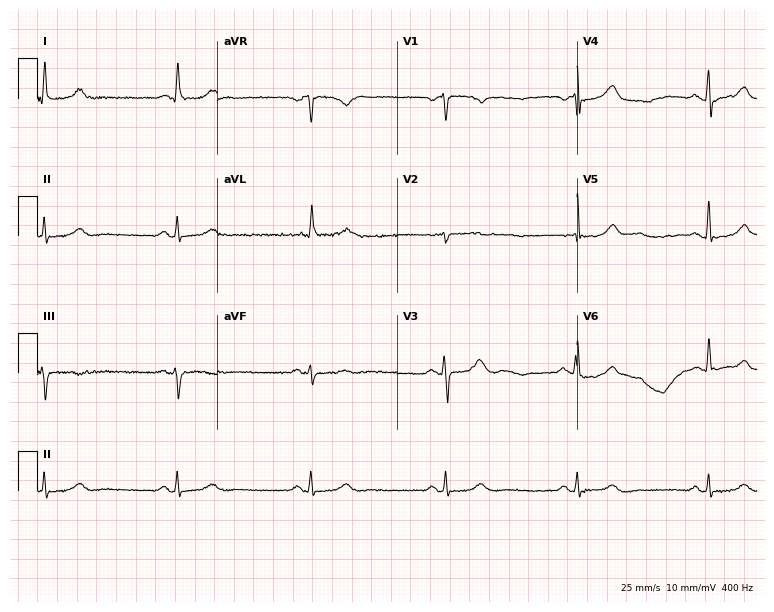
12-lead ECG from a male, 80 years old. Screened for six findings — first-degree AV block, right bundle branch block, left bundle branch block, sinus bradycardia, atrial fibrillation, sinus tachycardia — none is recorded. Only these six findings were labelled.